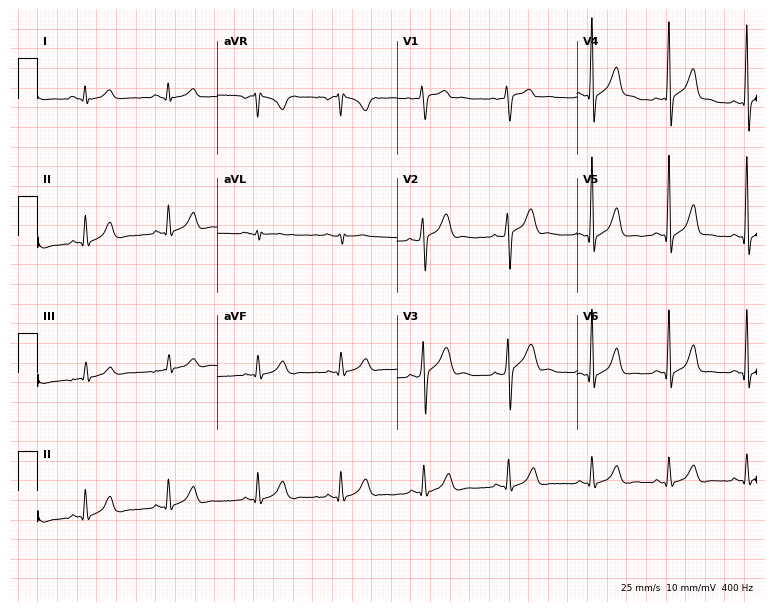
Resting 12-lead electrocardiogram. Patient: a 22-year-old male. None of these six findings is recorded: first-degree AV block, right bundle branch block (RBBB), left bundle branch block (LBBB), sinus bradycardia, atrial fibrillation (AF), sinus tachycardia. Other findings, if any, are not listed.